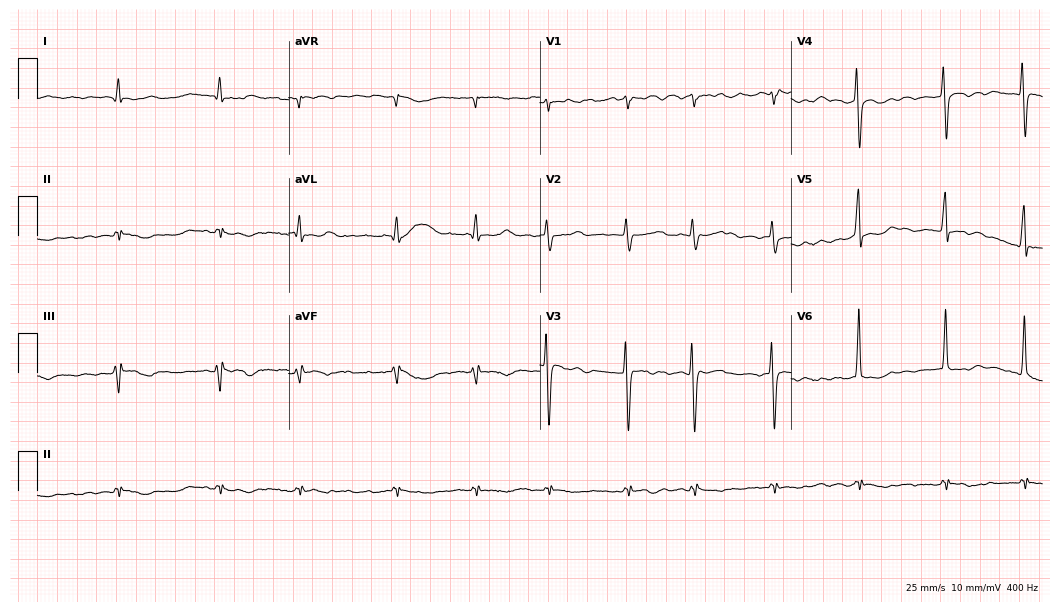
Resting 12-lead electrocardiogram (10.2-second recording at 400 Hz). Patient: a man, 77 years old. None of these six findings is recorded: first-degree AV block, right bundle branch block (RBBB), left bundle branch block (LBBB), sinus bradycardia, atrial fibrillation (AF), sinus tachycardia. Other findings, if any, are not listed.